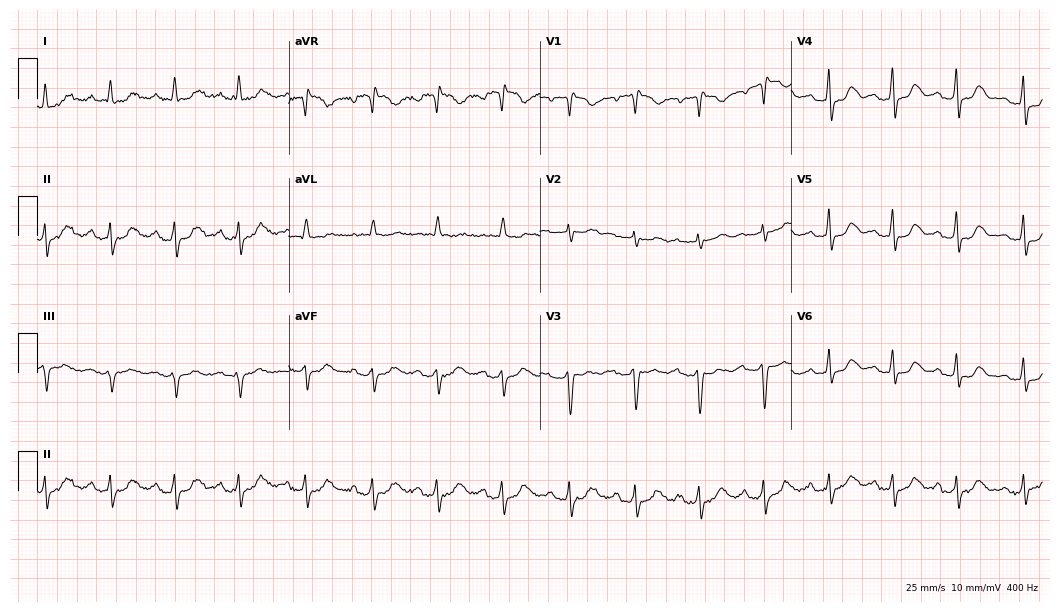
12-lead ECG from a female, 43 years old (10.2-second recording at 400 Hz). Shows first-degree AV block.